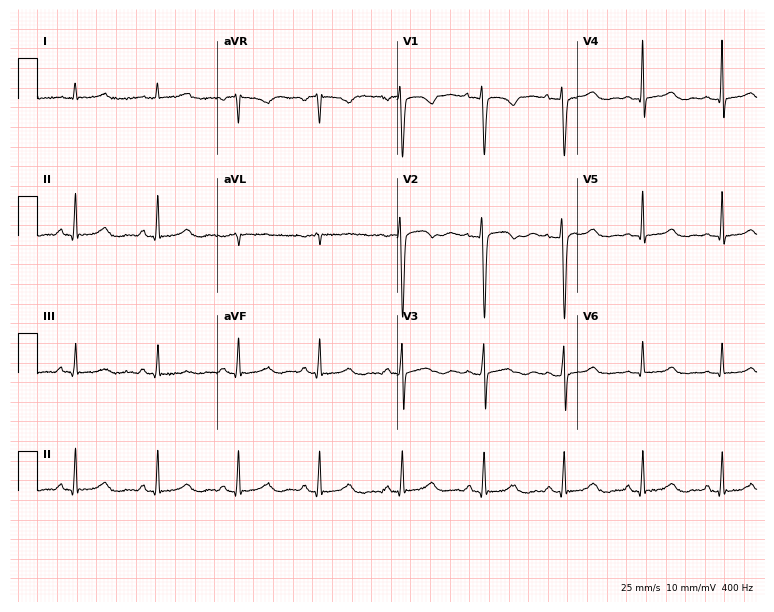
ECG — a female, 32 years old. Screened for six findings — first-degree AV block, right bundle branch block, left bundle branch block, sinus bradycardia, atrial fibrillation, sinus tachycardia — none is recorded.